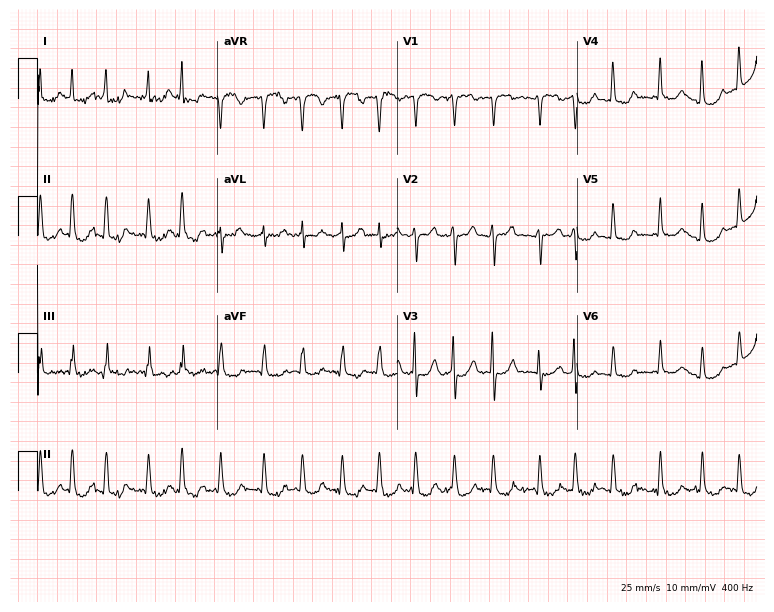
Standard 12-lead ECG recorded from a 60-year-old woman. The tracing shows atrial fibrillation (AF).